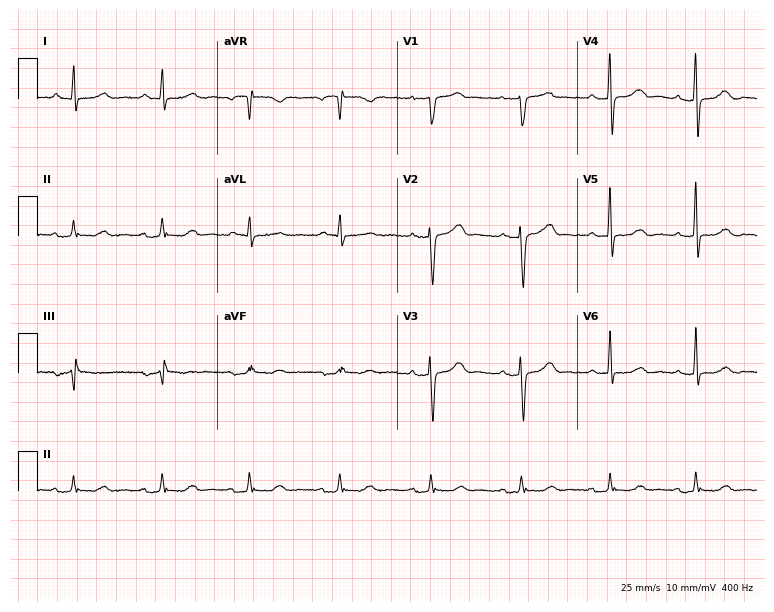
ECG — a woman, 68 years old. Screened for six findings — first-degree AV block, right bundle branch block (RBBB), left bundle branch block (LBBB), sinus bradycardia, atrial fibrillation (AF), sinus tachycardia — none is recorded. Findings outside these six are not listed.